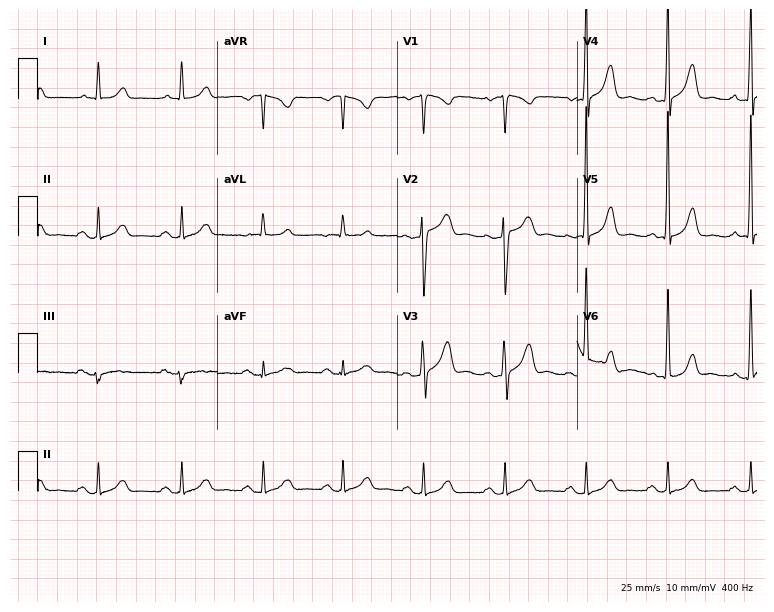
12-lead ECG from a man, 58 years old. Labelled as a normal ECG.